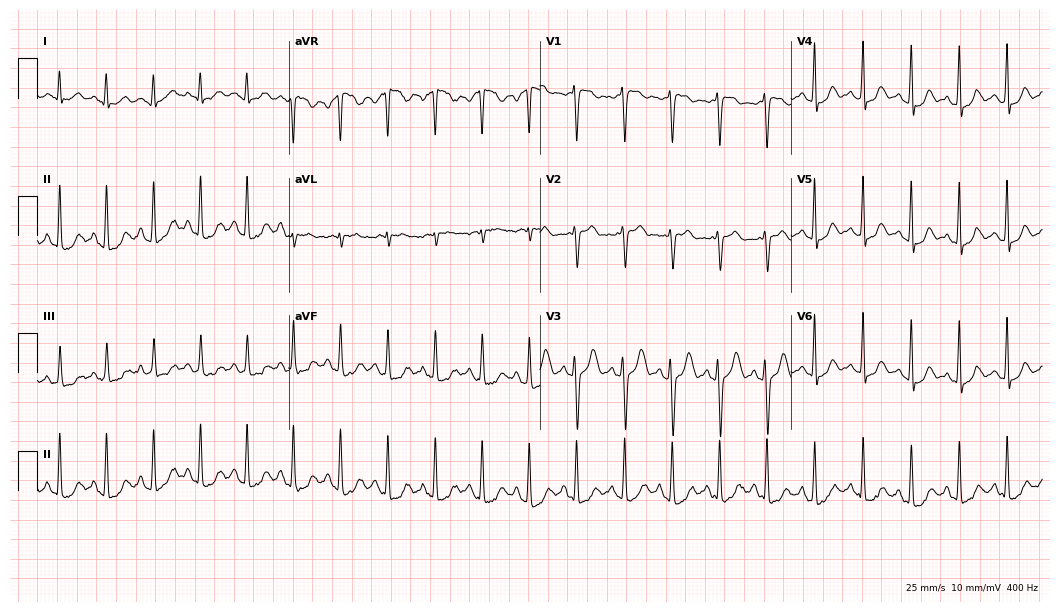
Resting 12-lead electrocardiogram (10.2-second recording at 400 Hz). Patient: a 41-year-old woman. None of these six findings is recorded: first-degree AV block, right bundle branch block, left bundle branch block, sinus bradycardia, atrial fibrillation, sinus tachycardia. Other findings, if any, are not listed.